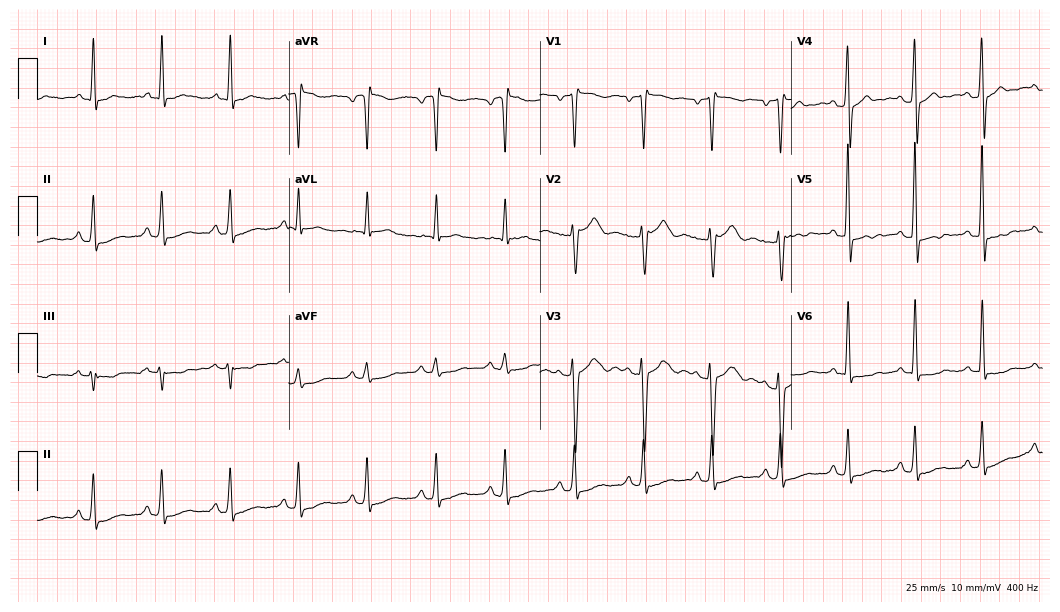
12-lead ECG from a male, 45 years old (10.2-second recording at 400 Hz). No first-degree AV block, right bundle branch block, left bundle branch block, sinus bradycardia, atrial fibrillation or sinus tachycardia recorded for this tracing. Only these six findings were labelled.